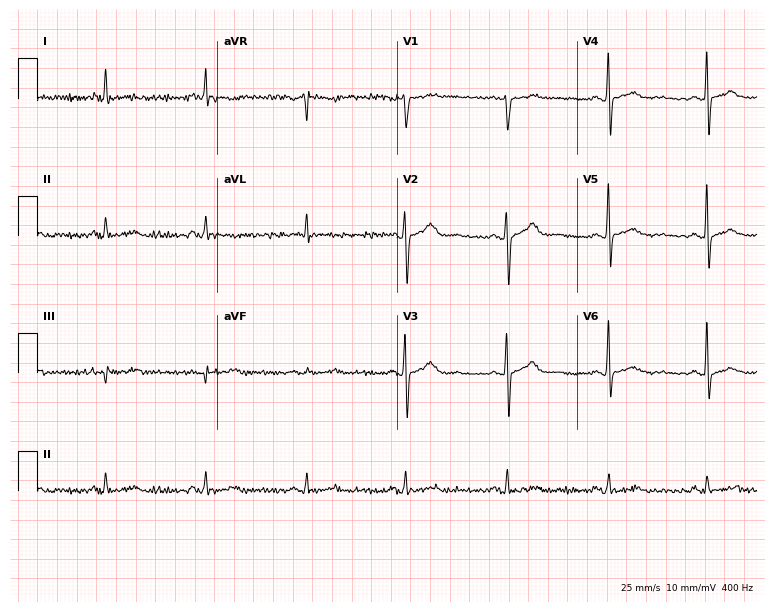
ECG (7.3-second recording at 400 Hz) — a 48-year-old male. Labelled as a normal ECG.